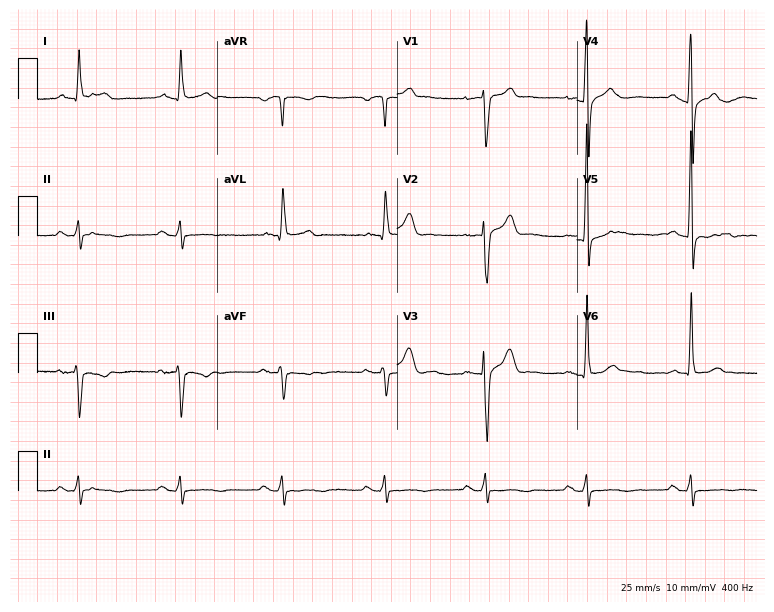
12-lead ECG from a 63-year-old man (7.3-second recording at 400 Hz). No first-degree AV block, right bundle branch block (RBBB), left bundle branch block (LBBB), sinus bradycardia, atrial fibrillation (AF) or sinus tachycardia recorded for this tracing.